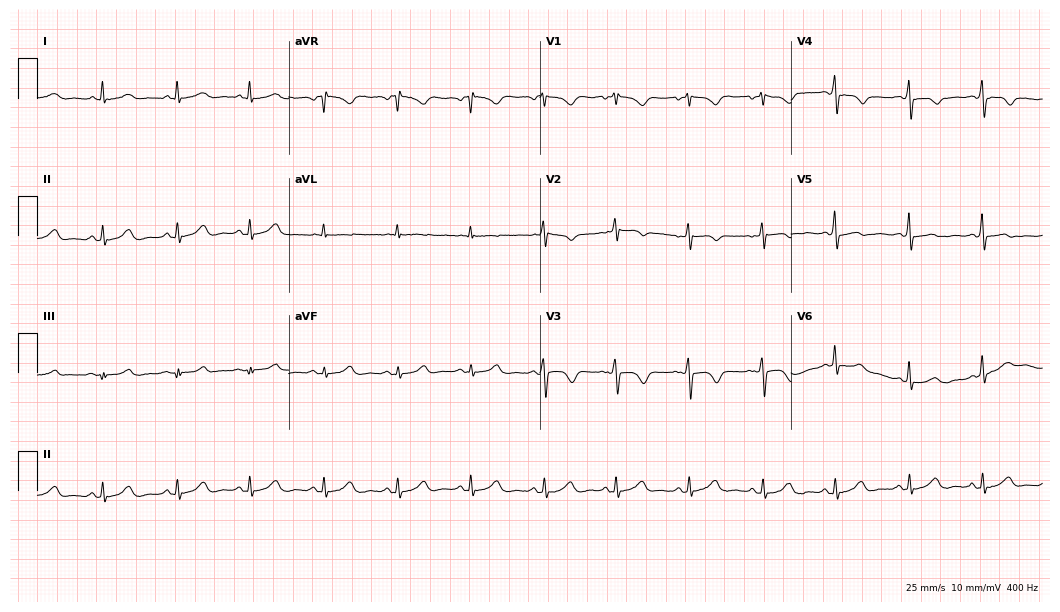
Electrocardiogram (10.2-second recording at 400 Hz), a 46-year-old woman. Of the six screened findings (first-degree AV block, right bundle branch block, left bundle branch block, sinus bradycardia, atrial fibrillation, sinus tachycardia), none is recorded.